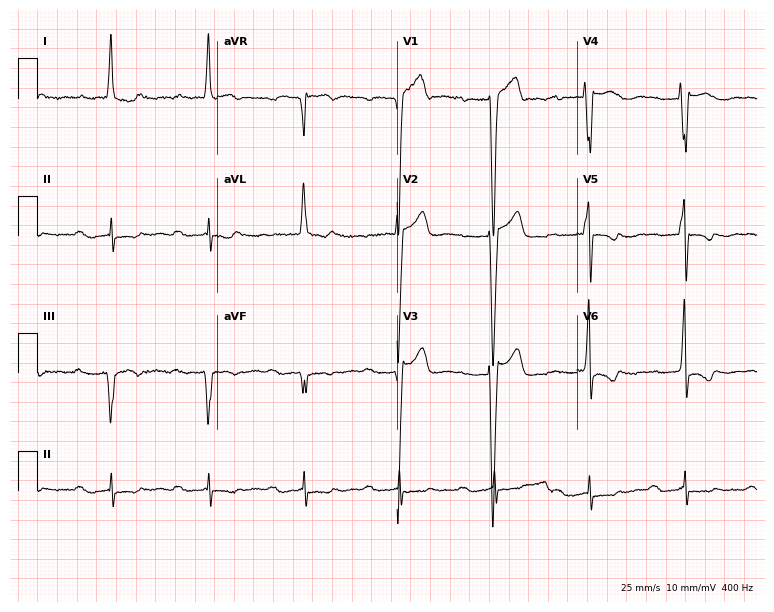
Resting 12-lead electrocardiogram (7.3-second recording at 400 Hz). Patient: a woman, 68 years old. The tracing shows first-degree AV block.